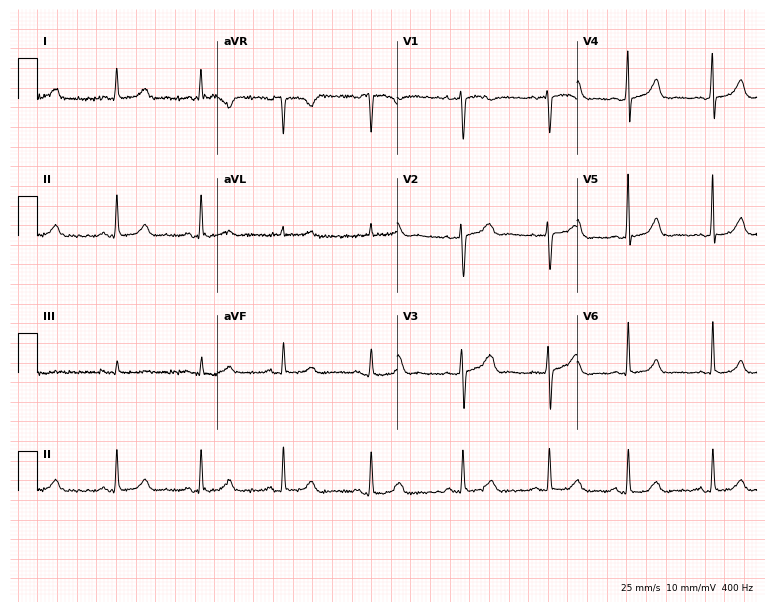
Resting 12-lead electrocardiogram. Patient: a 38-year-old woman. Read as a normal ECG.